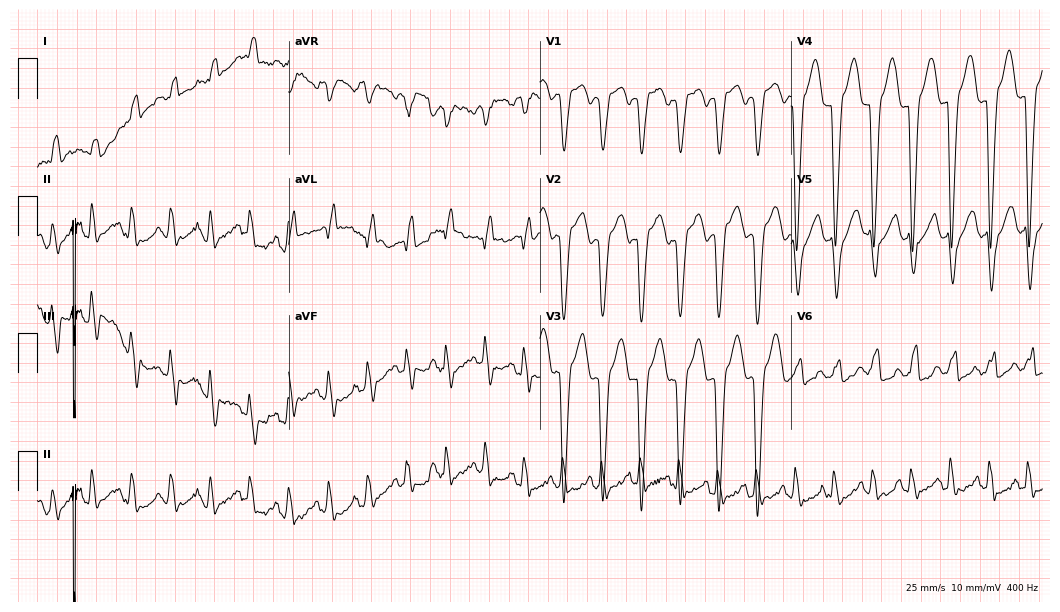
12-lead ECG from a 38-year-old female. Shows left bundle branch block, sinus tachycardia (a sinus rate of 100 beats per minute or more).